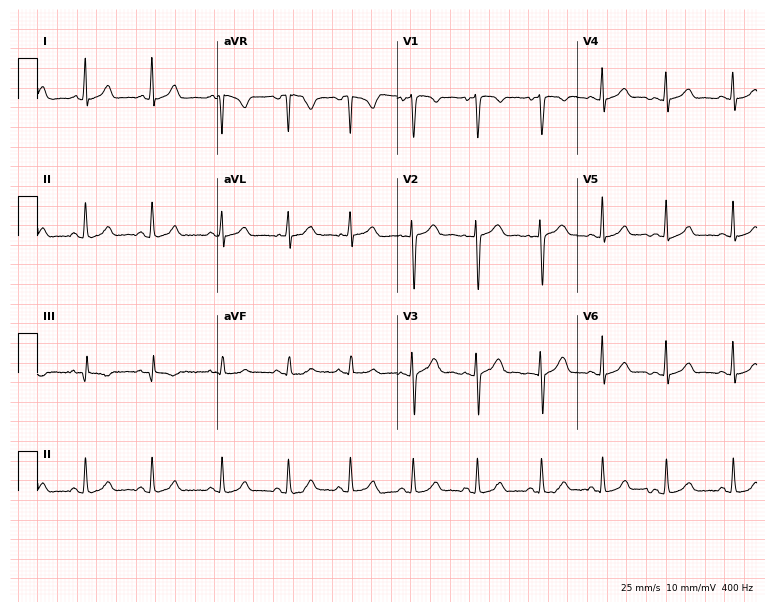
ECG (7.3-second recording at 400 Hz) — a female patient, 19 years old. Labelled as a normal ECG.